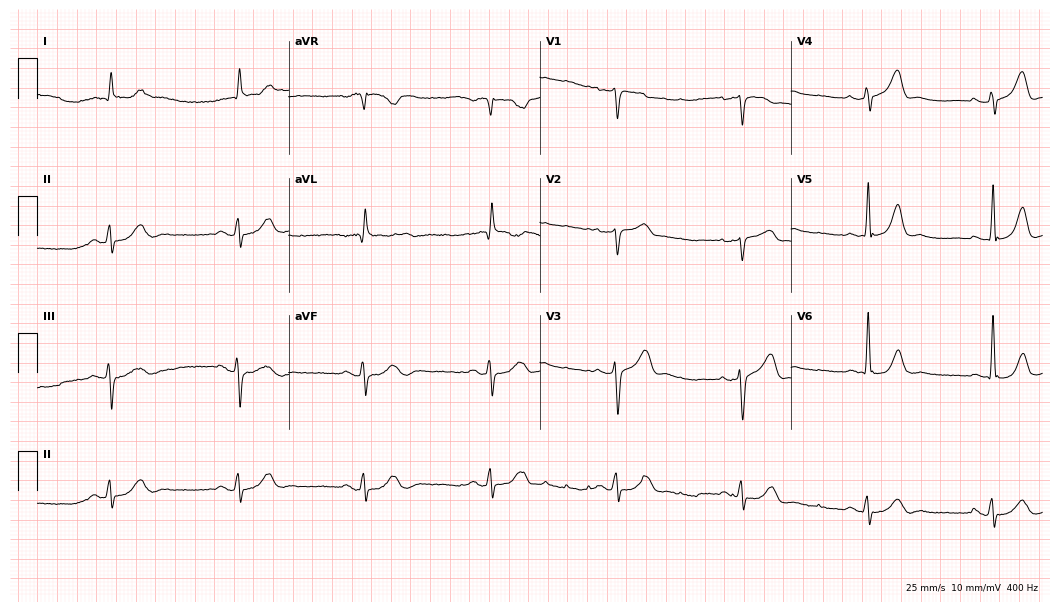
ECG — a 75-year-old male patient. Findings include sinus bradycardia (a sinus rate of 50 beats per minute or less).